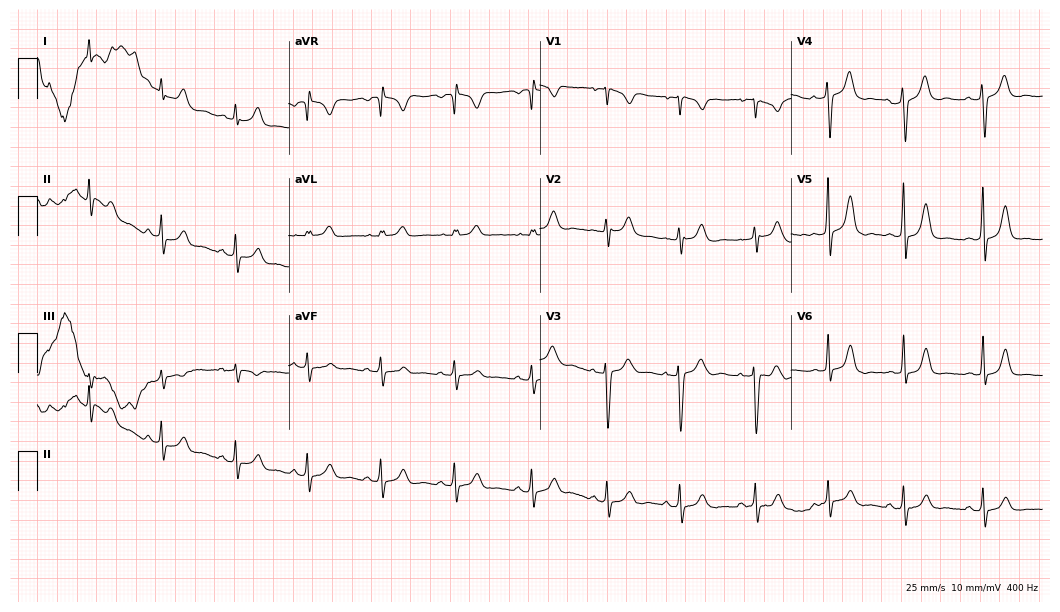
12-lead ECG from a female patient, 26 years old (10.2-second recording at 400 Hz). Recorded interpretation: within normal limits.